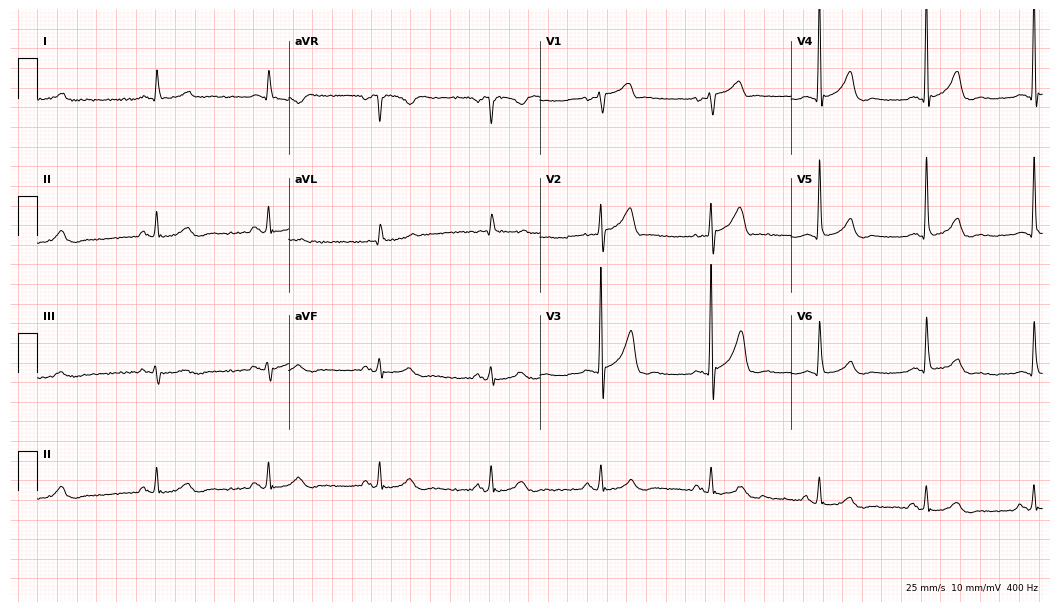
Electrocardiogram (10.2-second recording at 400 Hz), a 57-year-old man. Of the six screened findings (first-degree AV block, right bundle branch block, left bundle branch block, sinus bradycardia, atrial fibrillation, sinus tachycardia), none is recorded. Findings outside these six are not listed.